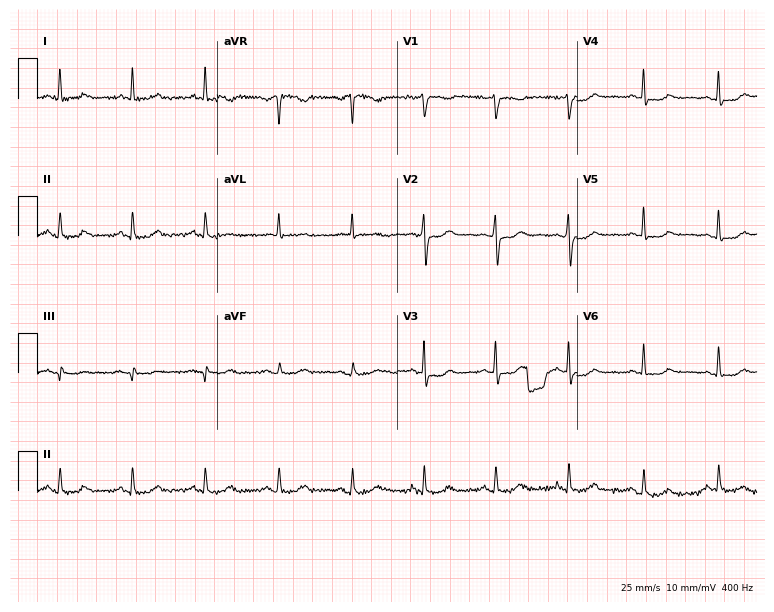
ECG (7.3-second recording at 400 Hz) — a 50-year-old female patient. Labelled as a normal ECG.